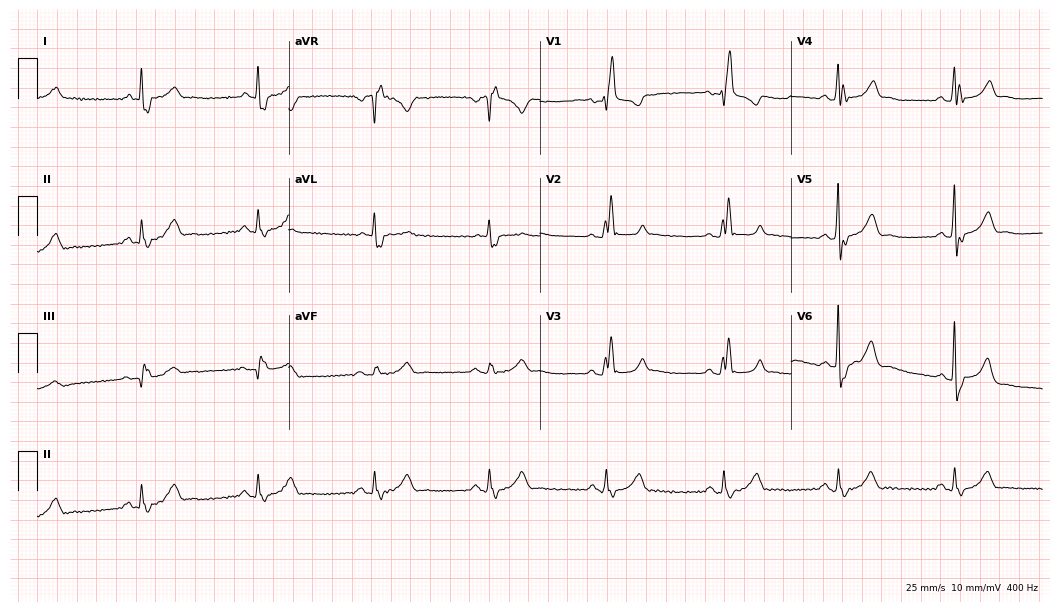
Resting 12-lead electrocardiogram. Patient: a 64-year-old male. None of these six findings is recorded: first-degree AV block, right bundle branch block (RBBB), left bundle branch block (LBBB), sinus bradycardia, atrial fibrillation (AF), sinus tachycardia.